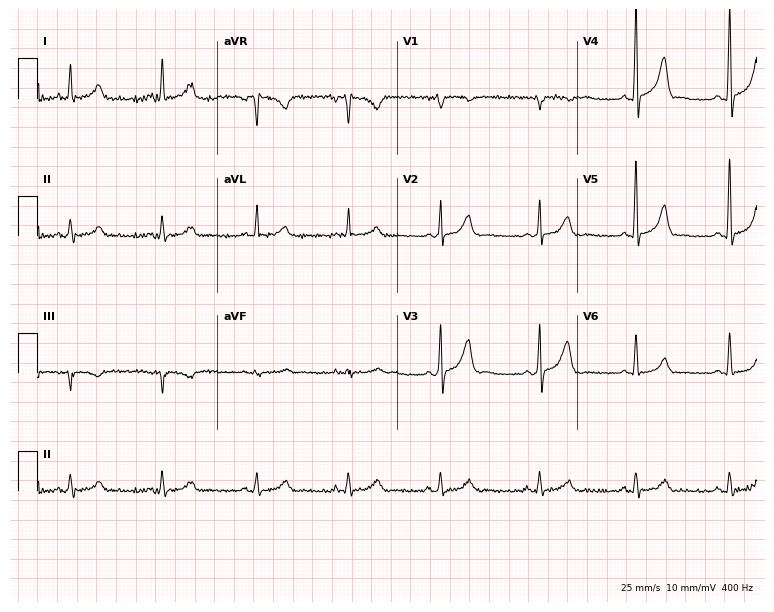
12-lead ECG from a 57-year-old male. Recorded interpretation: within normal limits.